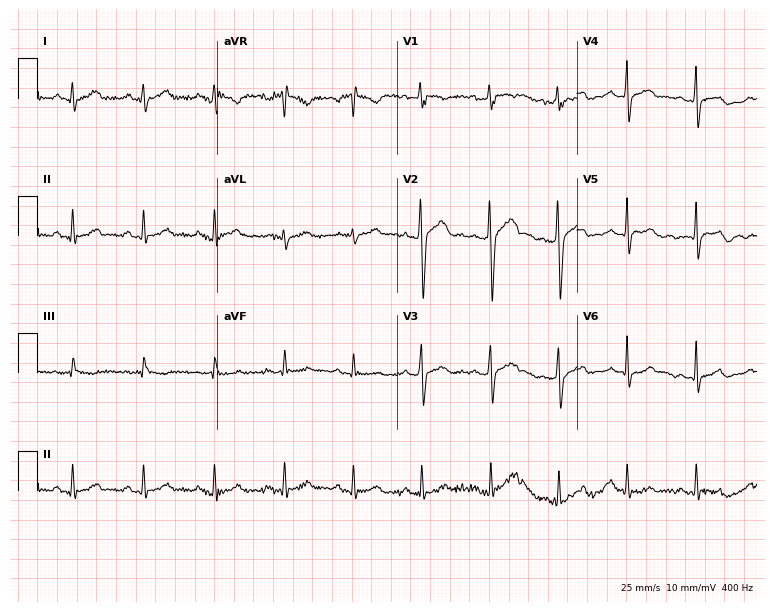
ECG (7.3-second recording at 400 Hz) — a 20-year-old man. Labelled as a normal ECG.